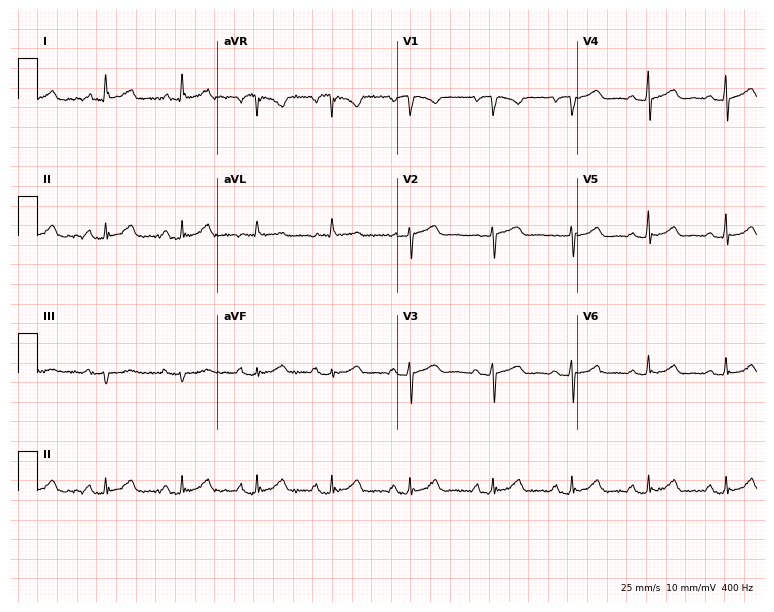
Standard 12-lead ECG recorded from a 63-year-old female (7.3-second recording at 400 Hz). Read as a normal ECG.